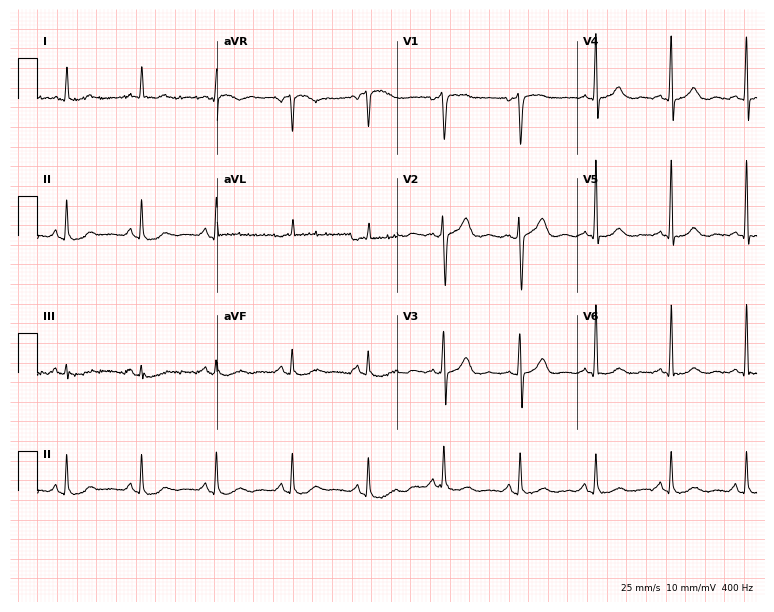
Resting 12-lead electrocardiogram (7.3-second recording at 400 Hz). Patient: a 71-year-old male. None of these six findings is recorded: first-degree AV block, right bundle branch block, left bundle branch block, sinus bradycardia, atrial fibrillation, sinus tachycardia.